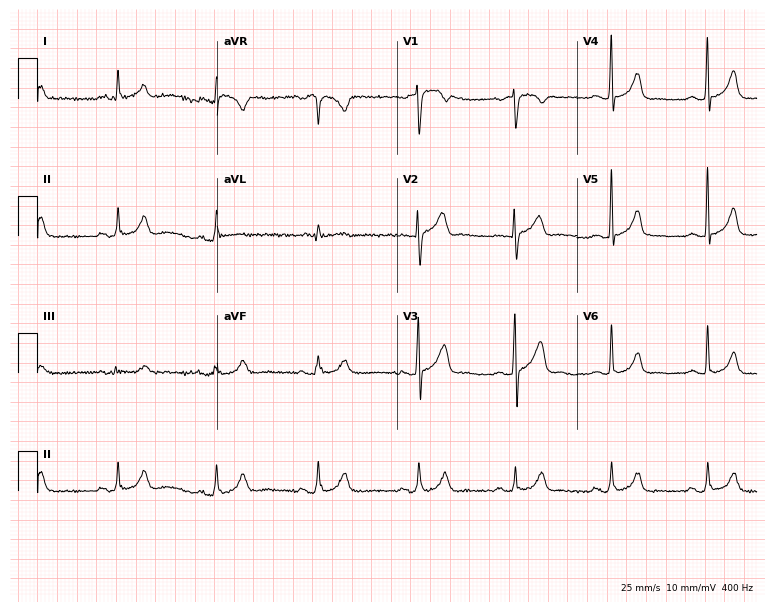
Resting 12-lead electrocardiogram (7.3-second recording at 400 Hz). Patient: a male, 39 years old. Read as a normal ECG.